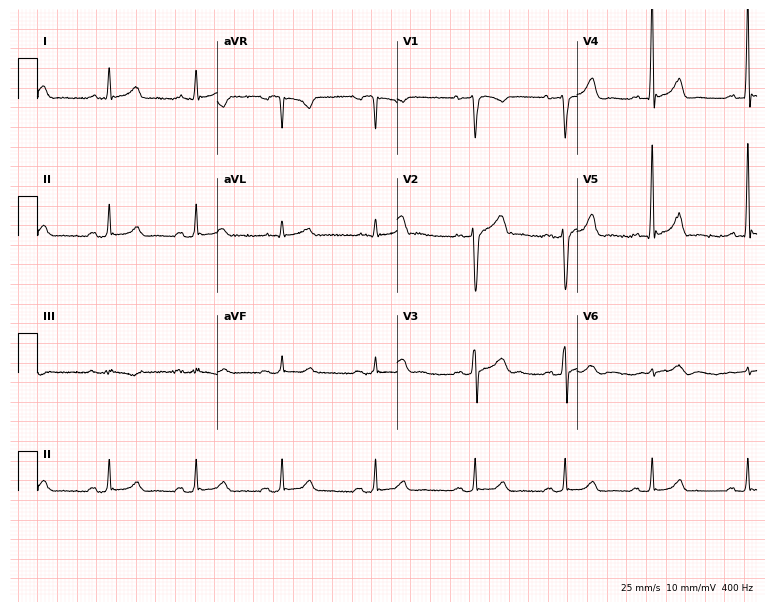
Standard 12-lead ECG recorded from a 47-year-old man (7.3-second recording at 400 Hz). Read as a normal ECG.